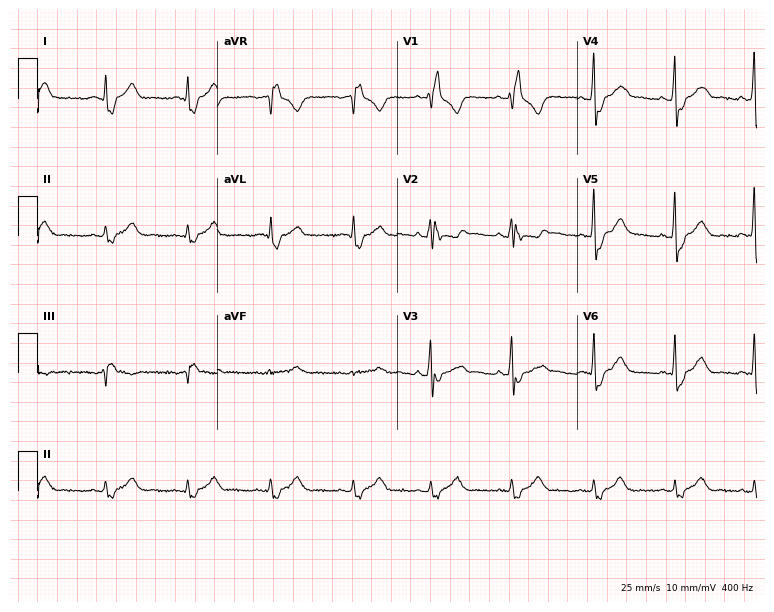
Electrocardiogram (7.3-second recording at 400 Hz), a 33-year-old male. Interpretation includes right bundle branch block.